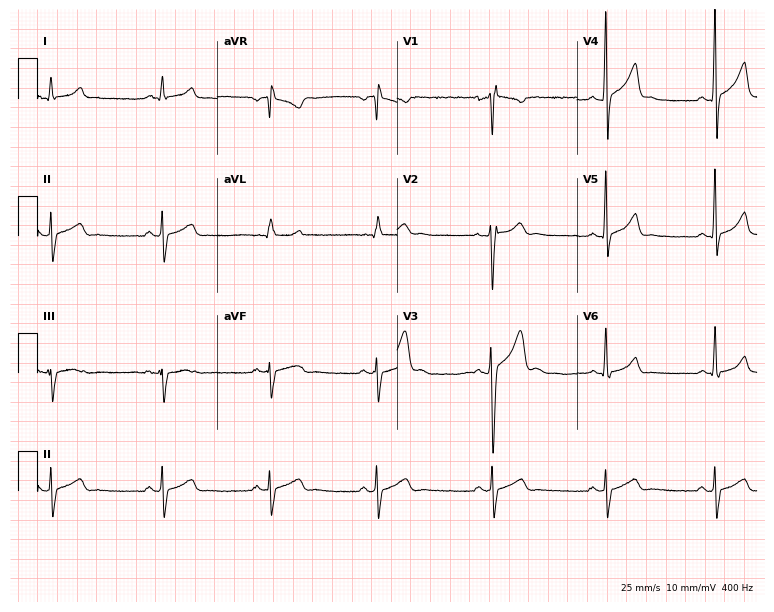
Standard 12-lead ECG recorded from a 19-year-old male. None of these six findings is recorded: first-degree AV block, right bundle branch block, left bundle branch block, sinus bradycardia, atrial fibrillation, sinus tachycardia. Other findings, if any, are not listed.